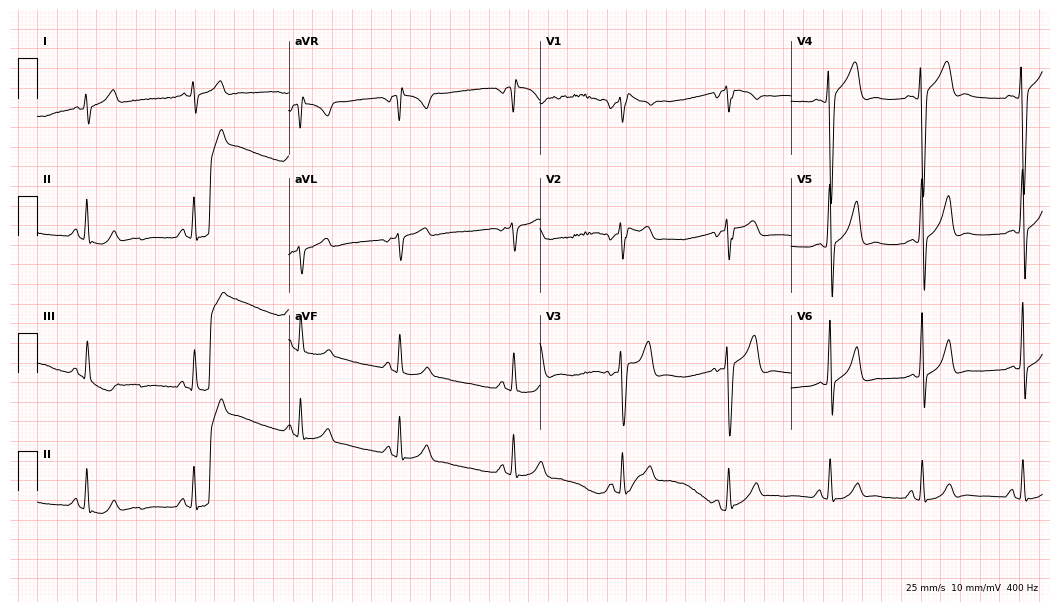
Electrocardiogram (10.2-second recording at 400 Hz), a man, 17 years old. Of the six screened findings (first-degree AV block, right bundle branch block (RBBB), left bundle branch block (LBBB), sinus bradycardia, atrial fibrillation (AF), sinus tachycardia), none is recorded. Other findings, if any, are not listed.